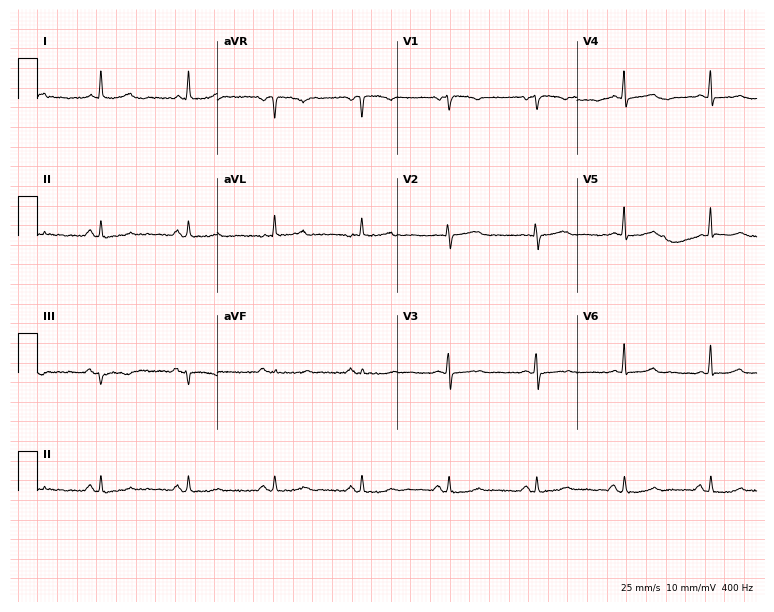
12-lead ECG from an 80-year-old female. Screened for six findings — first-degree AV block, right bundle branch block (RBBB), left bundle branch block (LBBB), sinus bradycardia, atrial fibrillation (AF), sinus tachycardia — none is recorded.